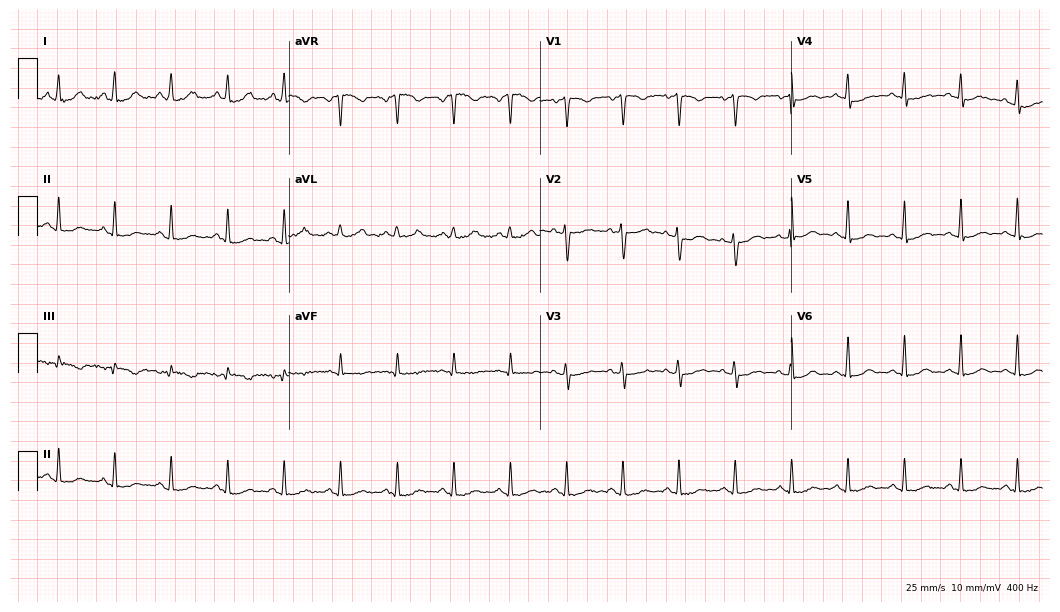
12-lead ECG (10.2-second recording at 400 Hz) from a 44-year-old female. Findings include sinus tachycardia (a sinus rate of 100 beats per minute or more).